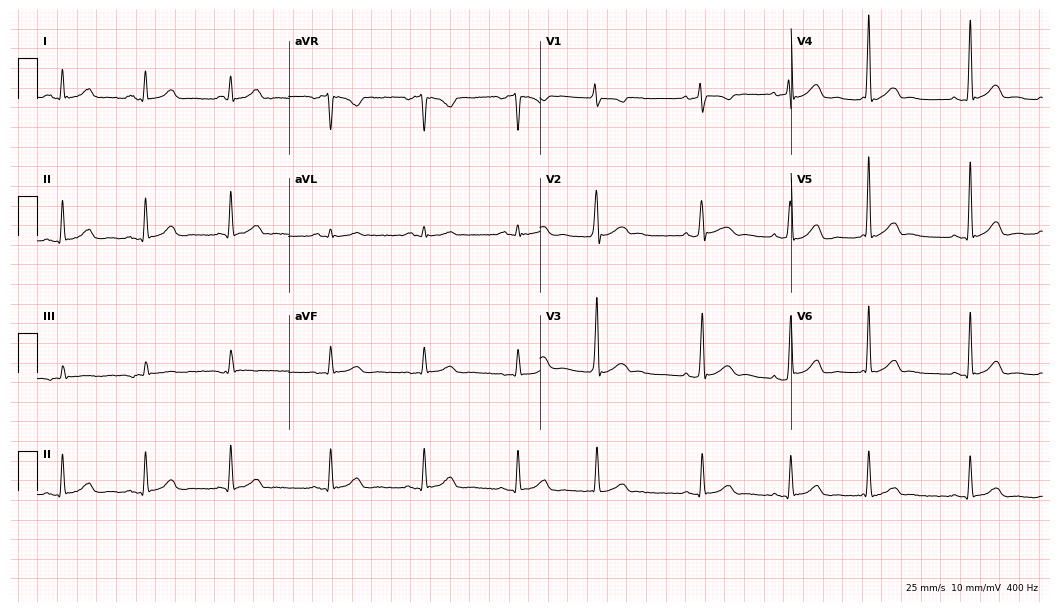
Electrocardiogram (10.2-second recording at 400 Hz), a 53-year-old male. Overall reading on record: normal ECG.